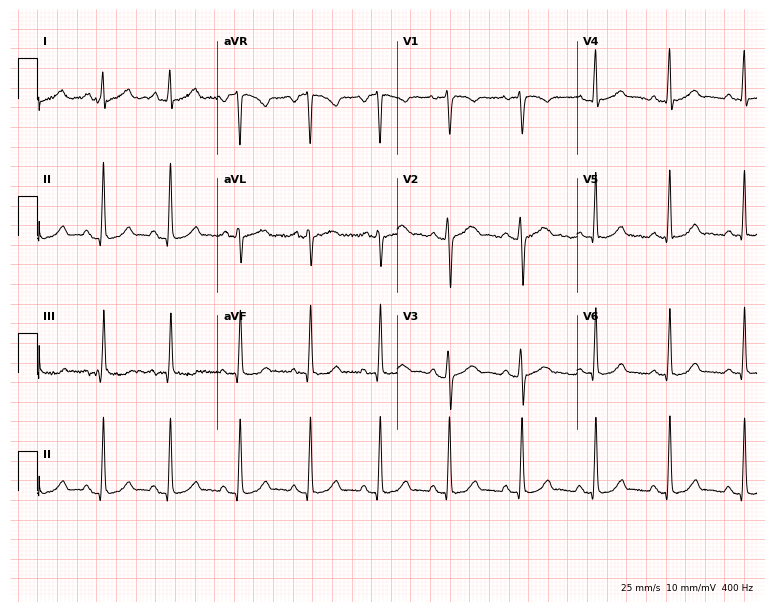
Resting 12-lead electrocardiogram. Patient: a woman, 26 years old. Read as a normal ECG.